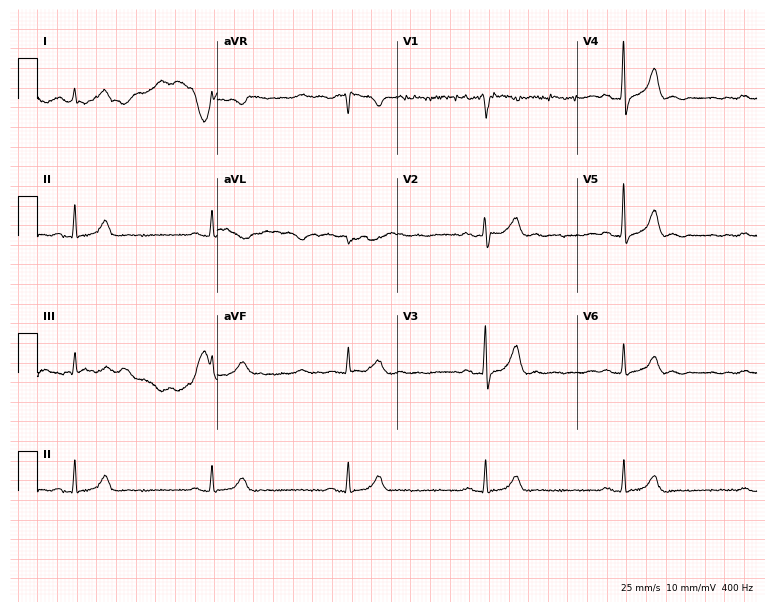
Standard 12-lead ECG recorded from a male, 63 years old. None of these six findings is recorded: first-degree AV block, right bundle branch block, left bundle branch block, sinus bradycardia, atrial fibrillation, sinus tachycardia. Findings outside these six are not listed.